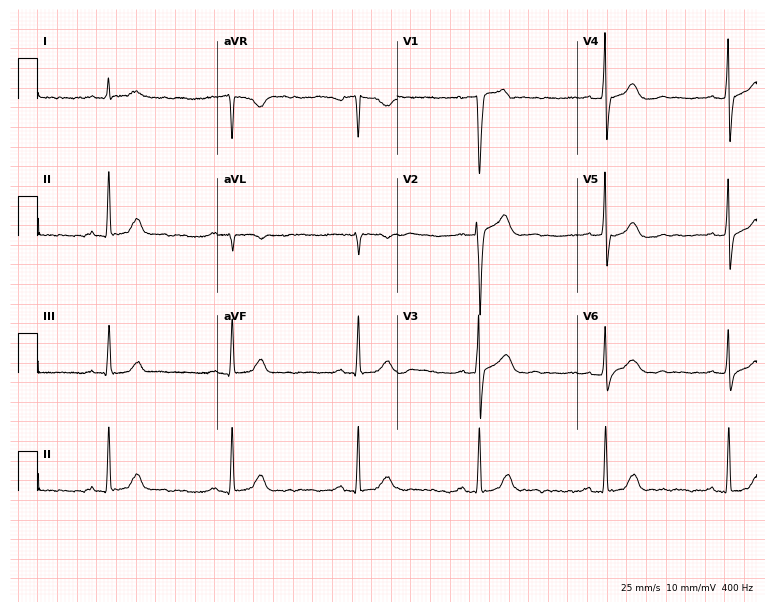
Resting 12-lead electrocardiogram (7.3-second recording at 400 Hz). Patient: a man, 52 years old. The tracing shows sinus bradycardia (a sinus rate of 50 beats per minute or less).